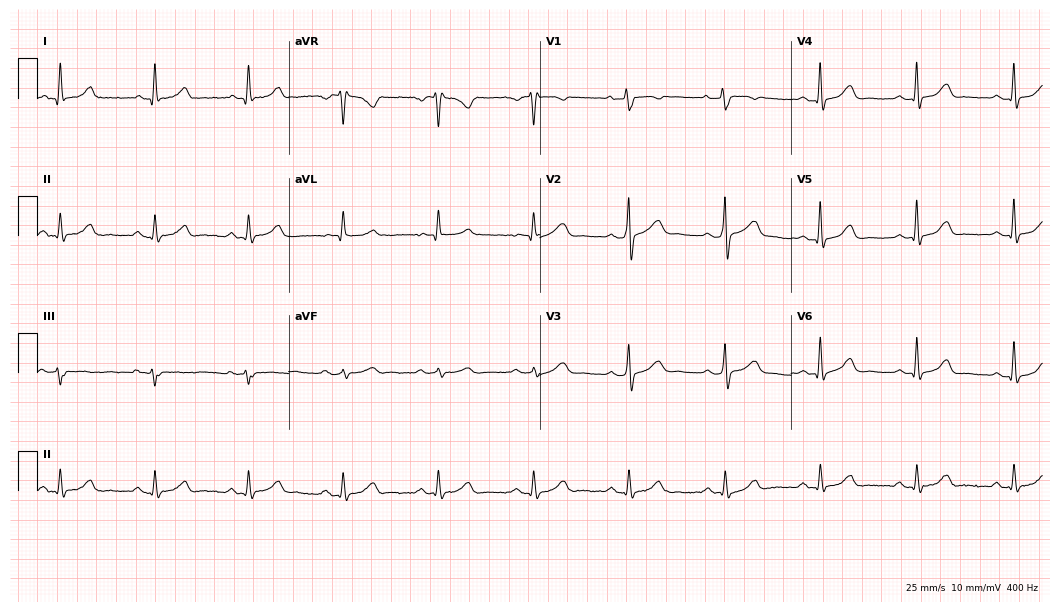
ECG (10.2-second recording at 400 Hz) — a 60-year-old woman. Labelled as a normal ECG.